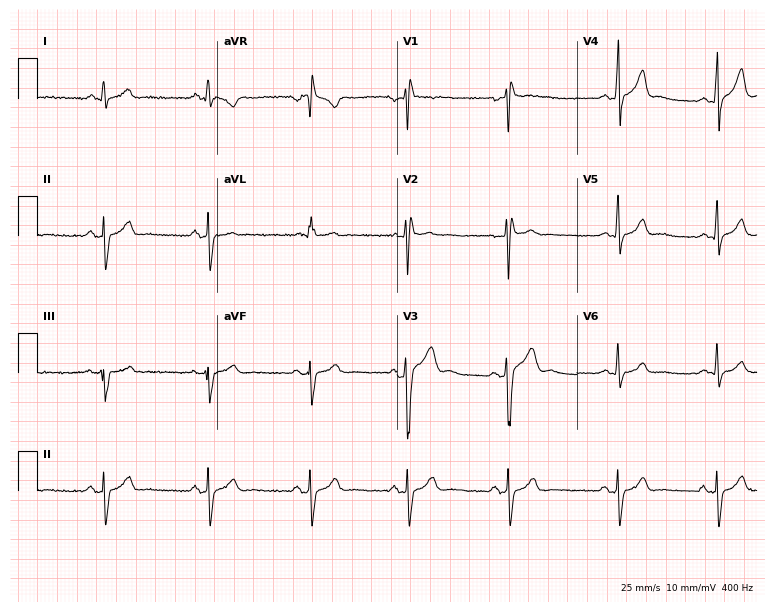
12-lead ECG from a man, 20 years old (7.3-second recording at 400 Hz). No first-degree AV block, right bundle branch block, left bundle branch block, sinus bradycardia, atrial fibrillation or sinus tachycardia recorded for this tracing. Findings outside these six are not listed.